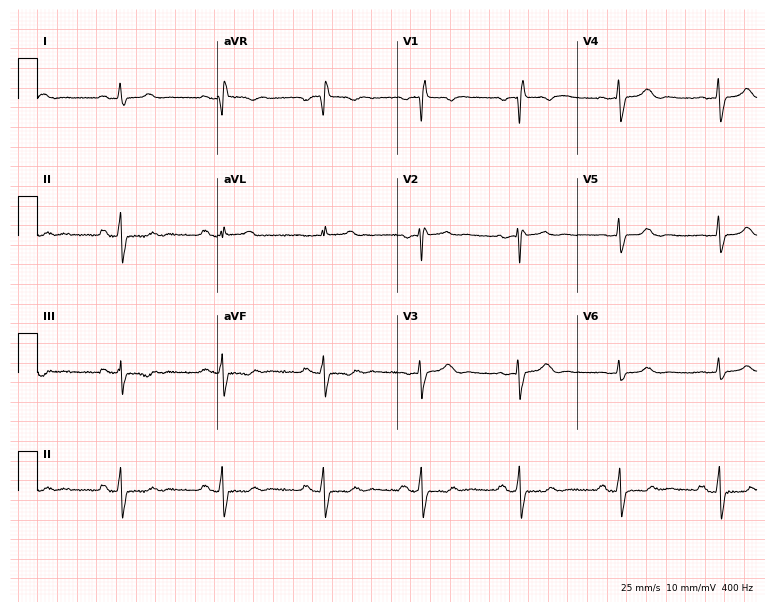
Resting 12-lead electrocardiogram (7.3-second recording at 400 Hz). Patient: a female, 31 years old. None of these six findings is recorded: first-degree AV block, right bundle branch block, left bundle branch block, sinus bradycardia, atrial fibrillation, sinus tachycardia. Only these six findings were labelled.